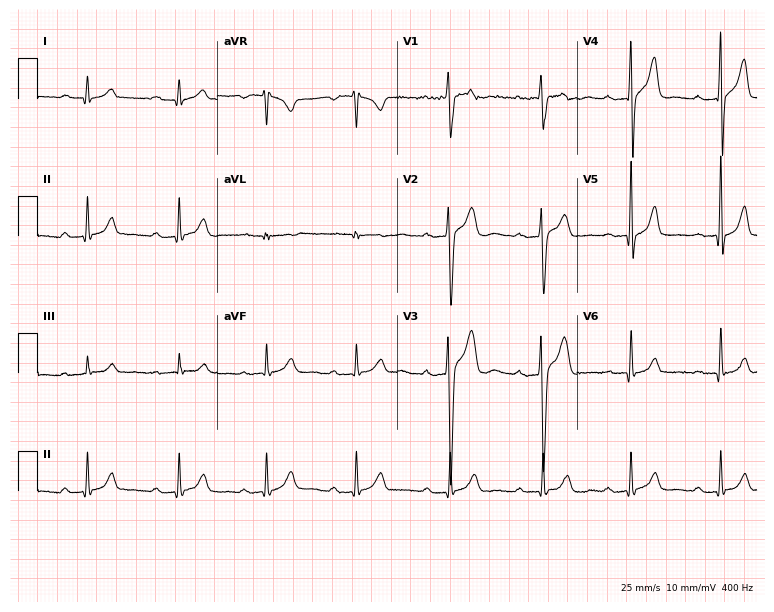
Electrocardiogram, a male, 21 years old. Interpretation includes first-degree AV block.